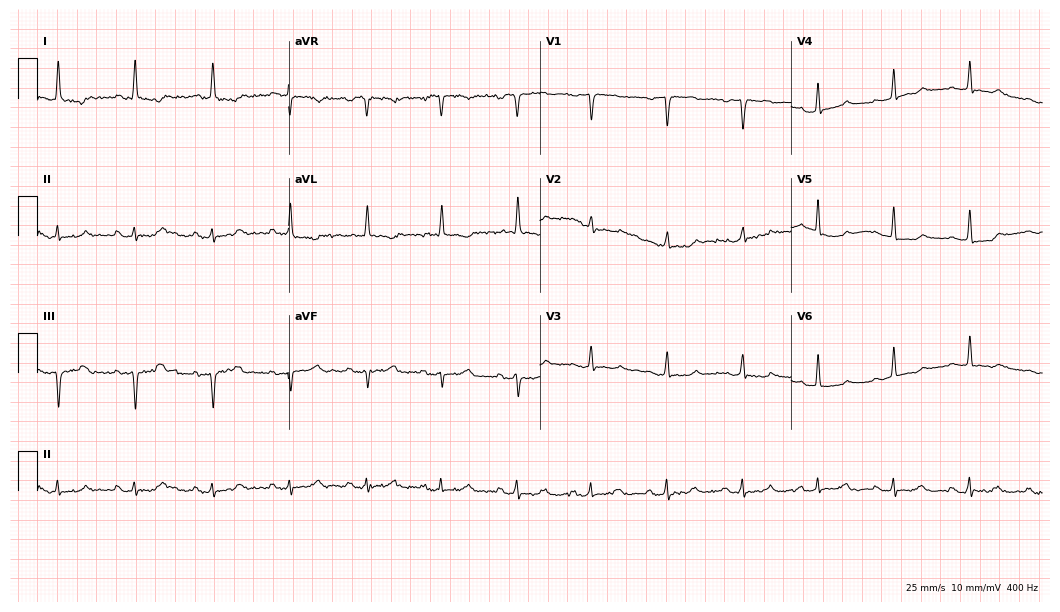
Resting 12-lead electrocardiogram (10.2-second recording at 400 Hz). Patient: a 79-year-old female. None of these six findings is recorded: first-degree AV block, right bundle branch block, left bundle branch block, sinus bradycardia, atrial fibrillation, sinus tachycardia.